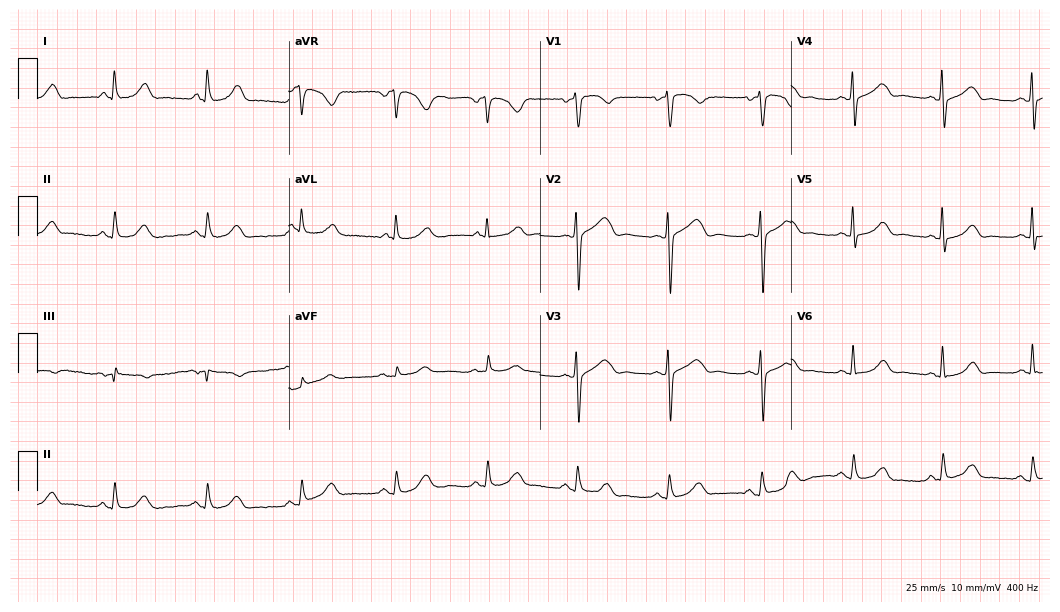
Electrocardiogram (10.2-second recording at 400 Hz), a female patient, 55 years old. Overall reading on record: normal ECG.